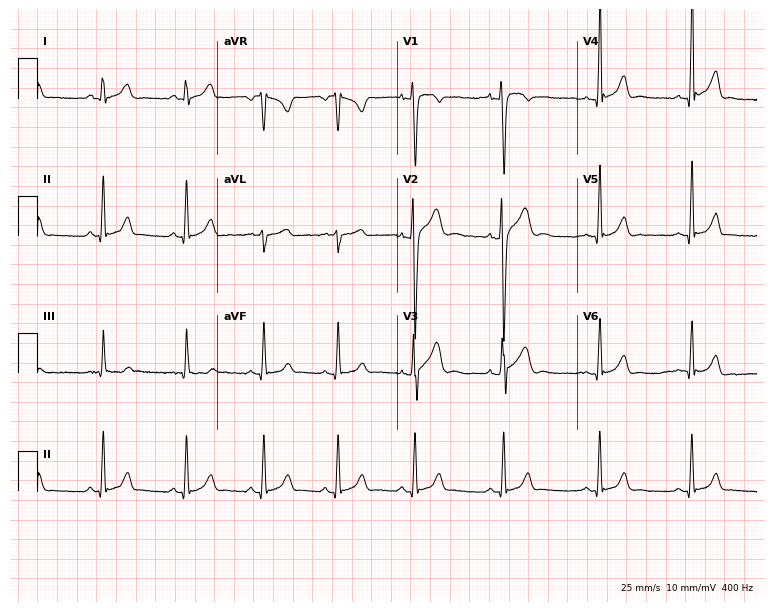
Resting 12-lead electrocardiogram. Patient: a man, 17 years old. Read as a normal ECG.